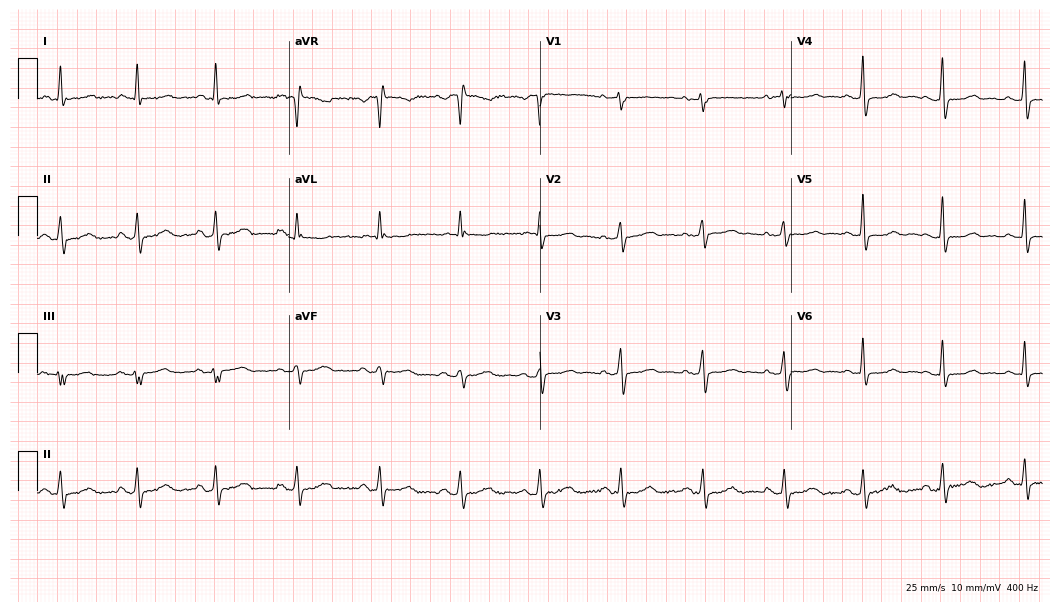
ECG — a female patient, 61 years old. Screened for six findings — first-degree AV block, right bundle branch block (RBBB), left bundle branch block (LBBB), sinus bradycardia, atrial fibrillation (AF), sinus tachycardia — none is recorded.